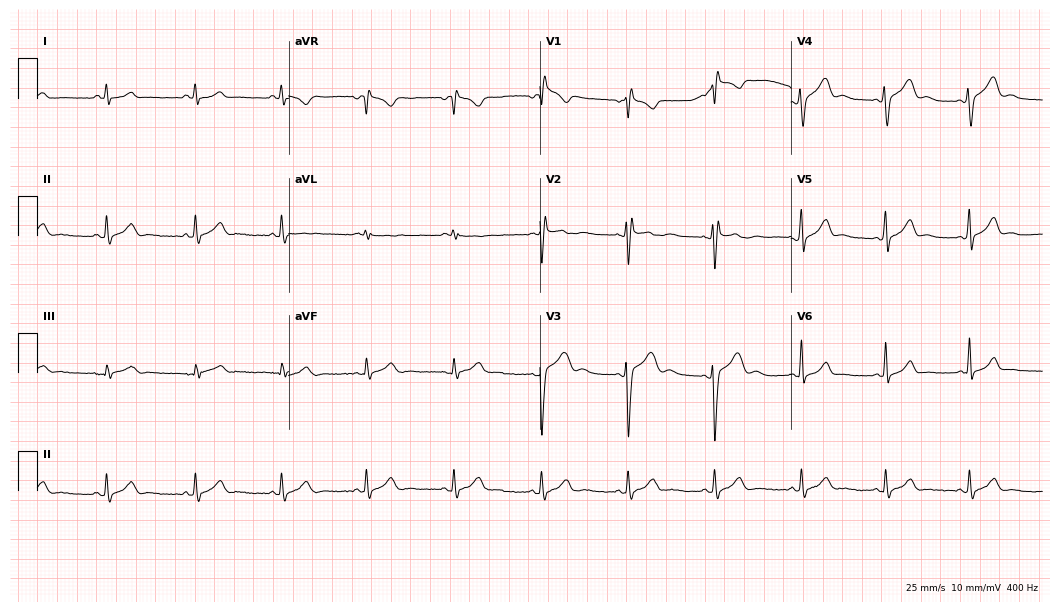
Standard 12-lead ECG recorded from a 27-year-old female patient. Read as a normal ECG.